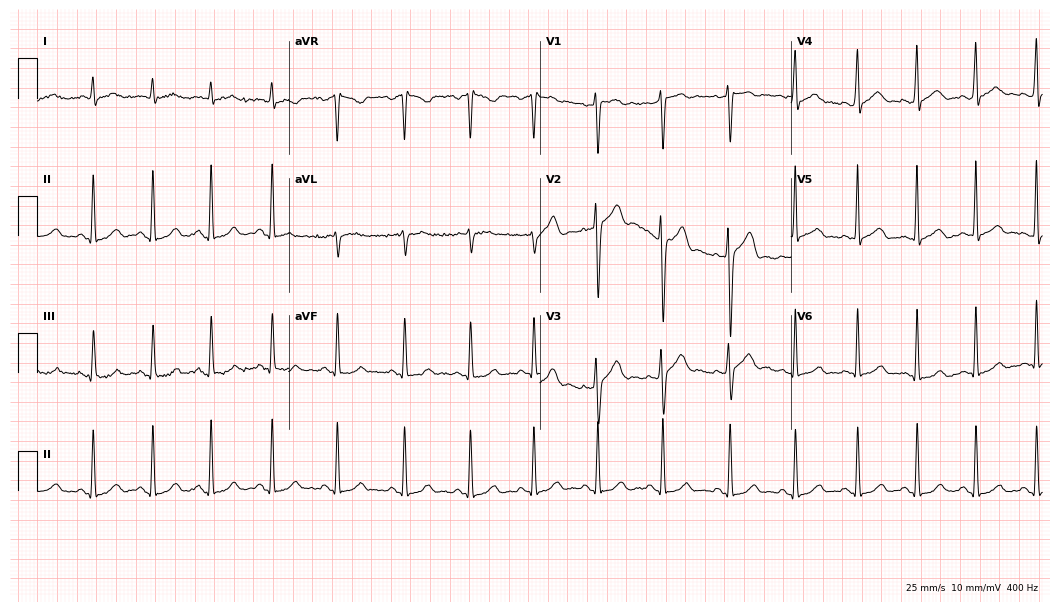
12-lead ECG from a 38-year-old man. Labelled as a normal ECG.